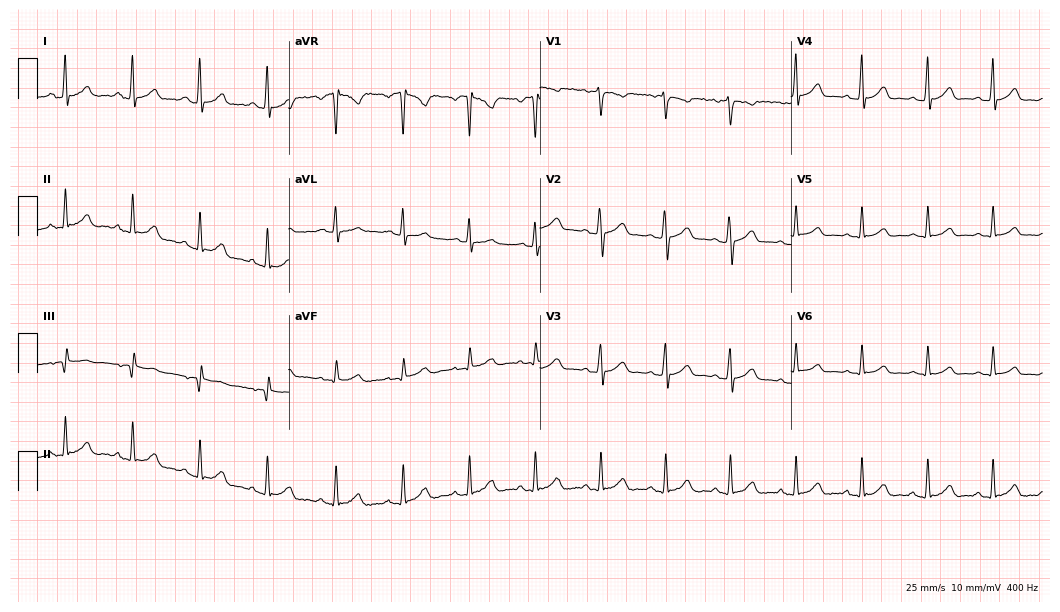
12-lead ECG from a female patient, 23 years old. Recorded interpretation: within normal limits.